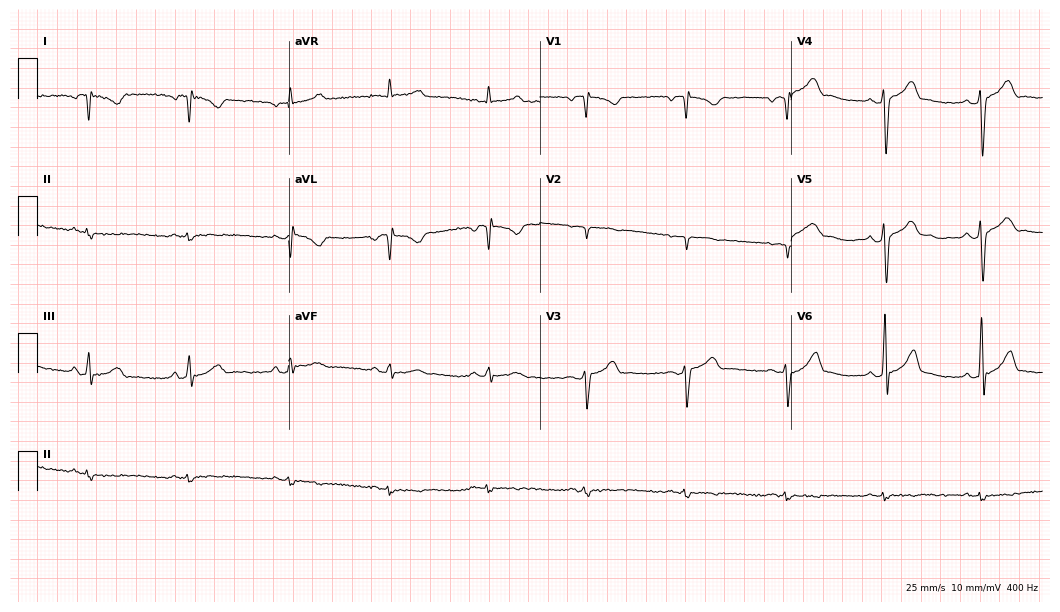
Resting 12-lead electrocardiogram. Patient: a 26-year-old male. None of these six findings is recorded: first-degree AV block, right bundle branch block, left bundle branch block, sinus bradycardia, atrial fibrillation, sinus tachycardia. Findings outside these six are not listed.